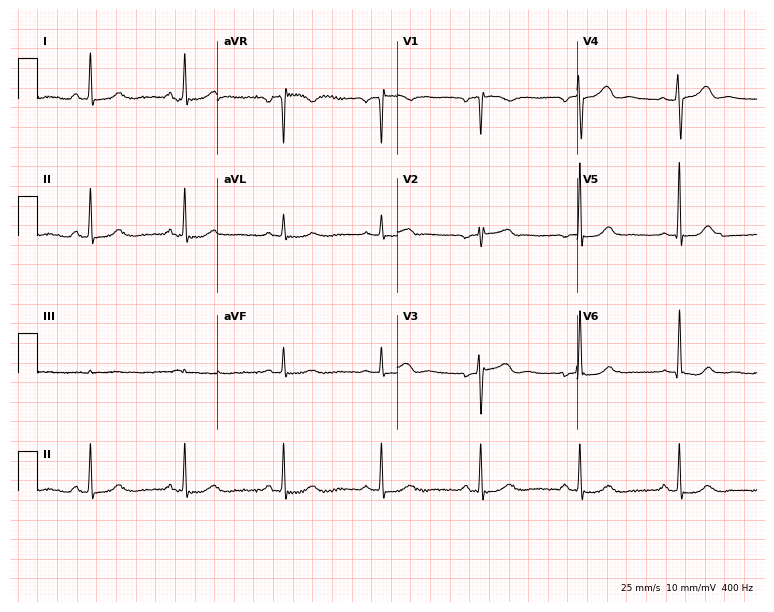
12-lead ECG from a 56-year-old female patient. Screened for six findings — first-degree AV block, right bundle branch block, left bundle branch block, sinus bradycardia, atrial fibrillation, sinus tachycardia — none is recorded. Only these six findings were labelled.